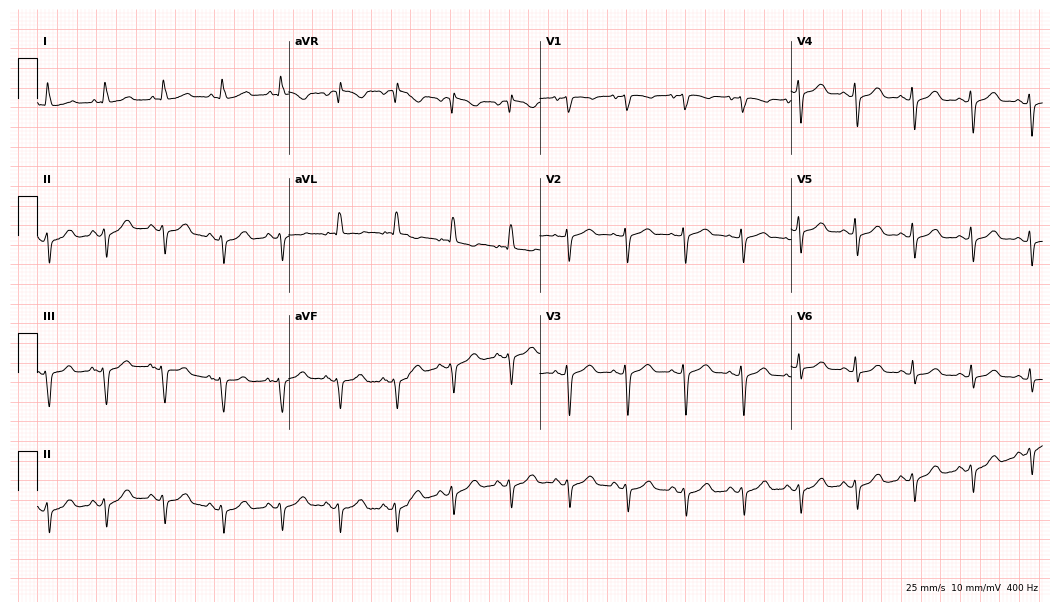
ECG — a woman, 70 years old. Findings include sinus tachycardia (a sinus rate of 100 beats per minute or more).